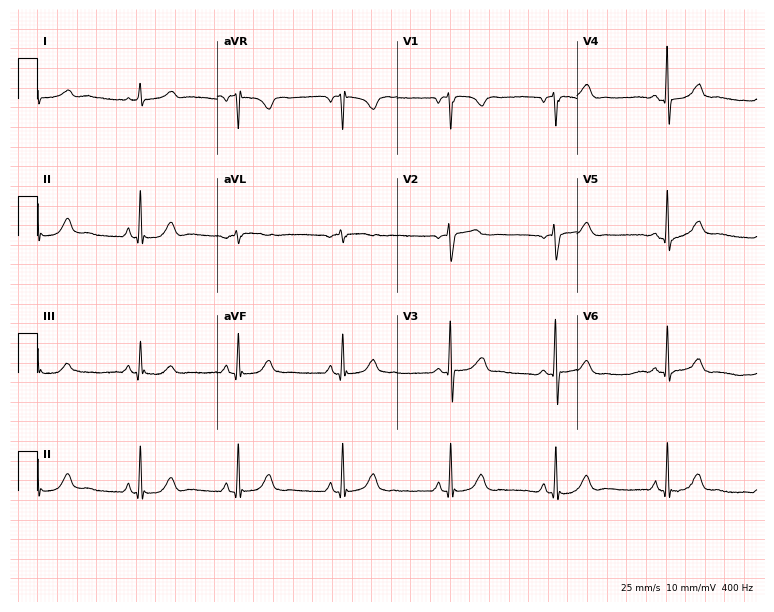
12-lead ECG (7.3-second recording at 400 Hz) from a woman, 52 years old. Screened for six findings — first-degree AV block, right bundle branch block, left bundle branch block, sinus bradycardia, atrial fibrillation, sinus tachycardia — none is recorded.